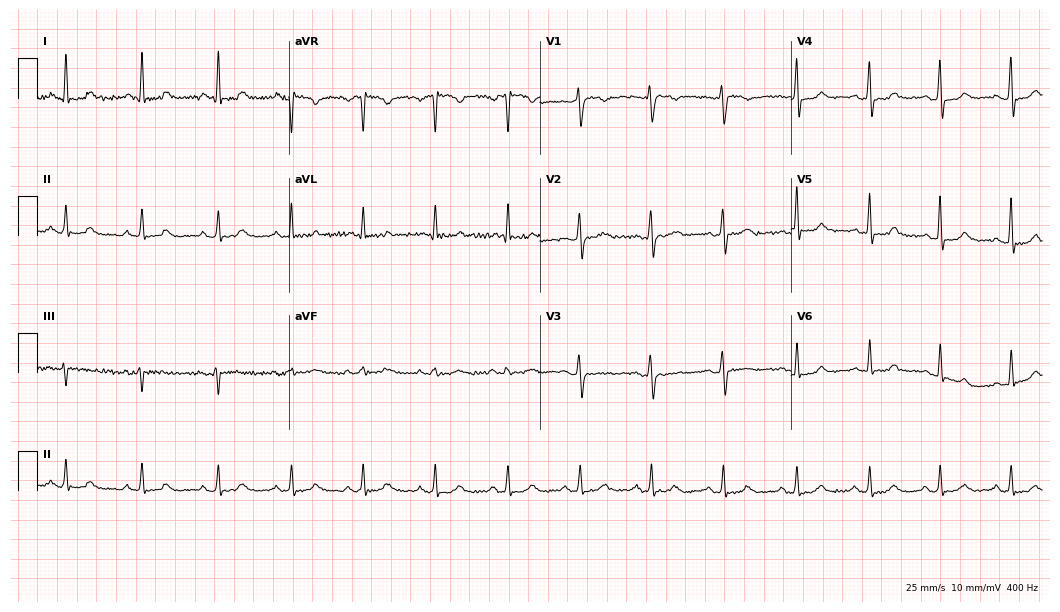
12-lead ECG from a 55-year-old woman. Labelled as a normal ECG.